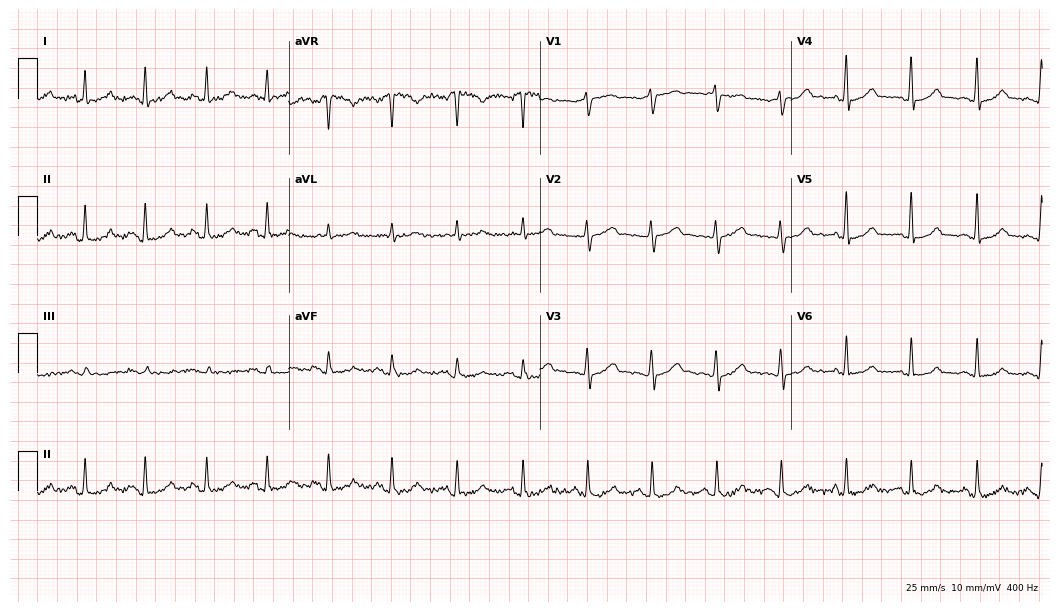
Resting 12-lead electrocardiogram. Patient: a 54-year-old female. None of these six findings is recorded: first-degree AV block, right bundle branch block, left bundle branch block, sinus bradycardia, atrial fibrillation, sinus tachycardia.